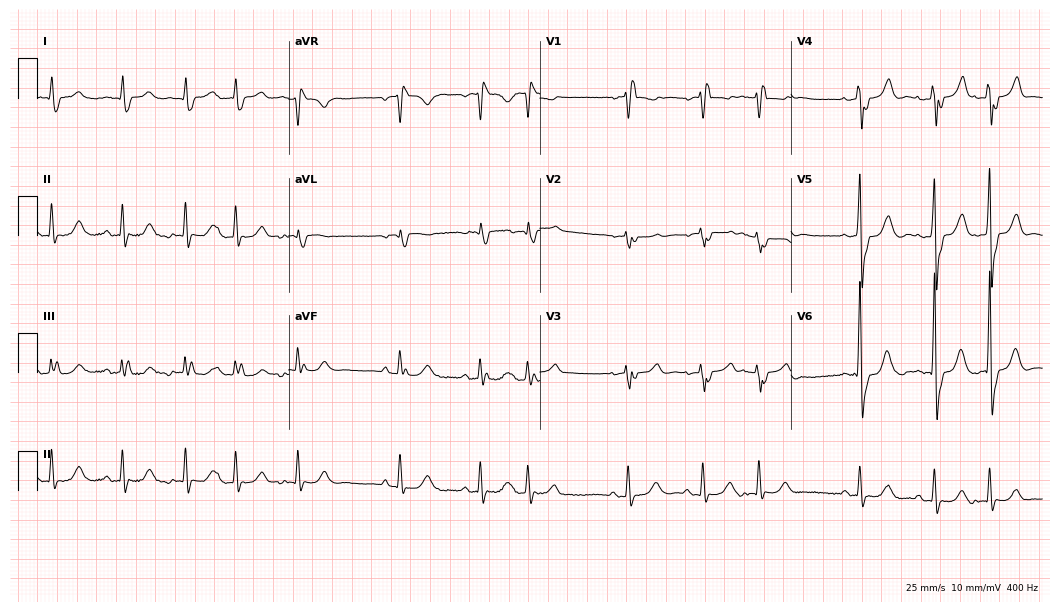
ECG — a male patient, 79 years old. Findings include right bundle branch block.